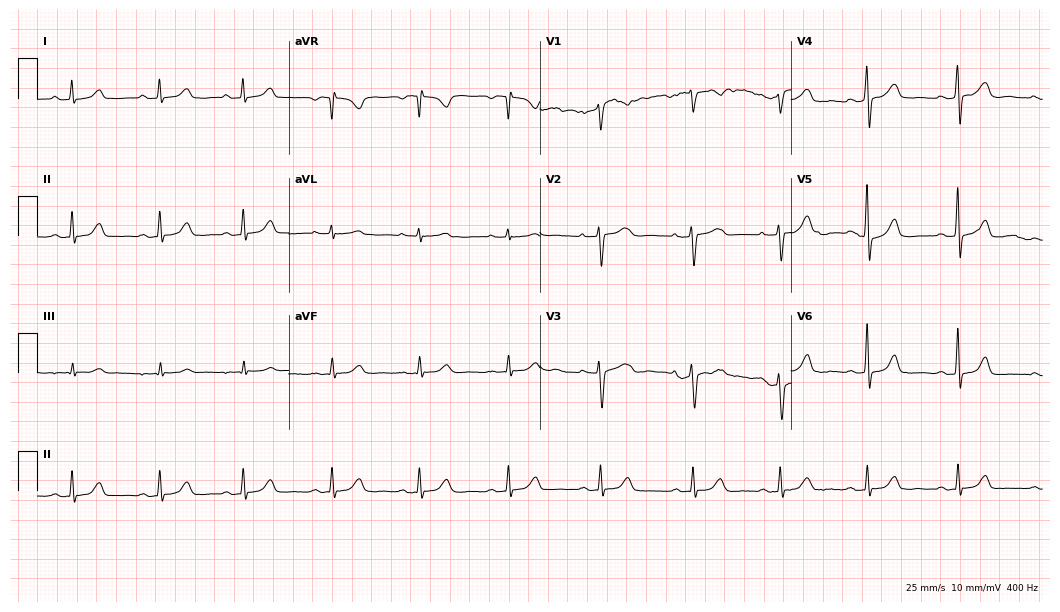
12-lead ECG from a 46-year-old female (10.2-second recording at 400 Hz). Recorded interpretation: within normal limits.